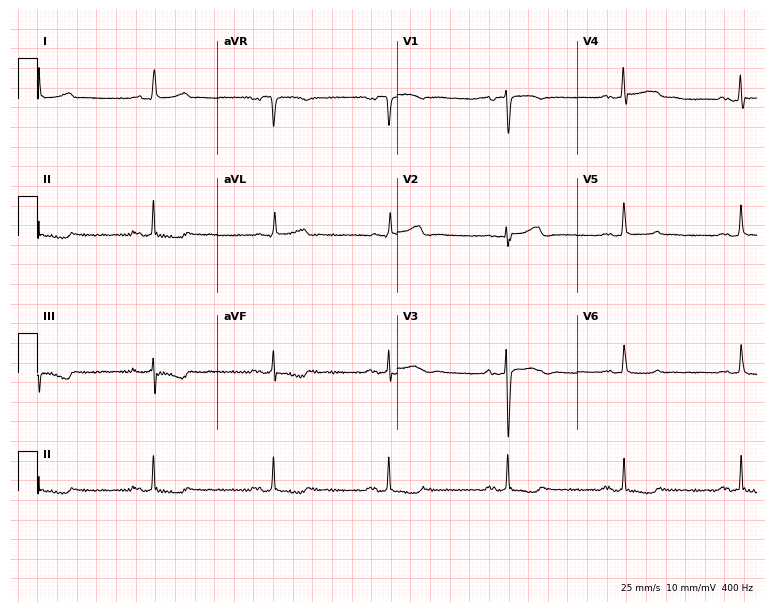
ECG — a woman, 56 years old. Findings include sinus bradycardia (a sinus rate of 50 beats per minute or less).